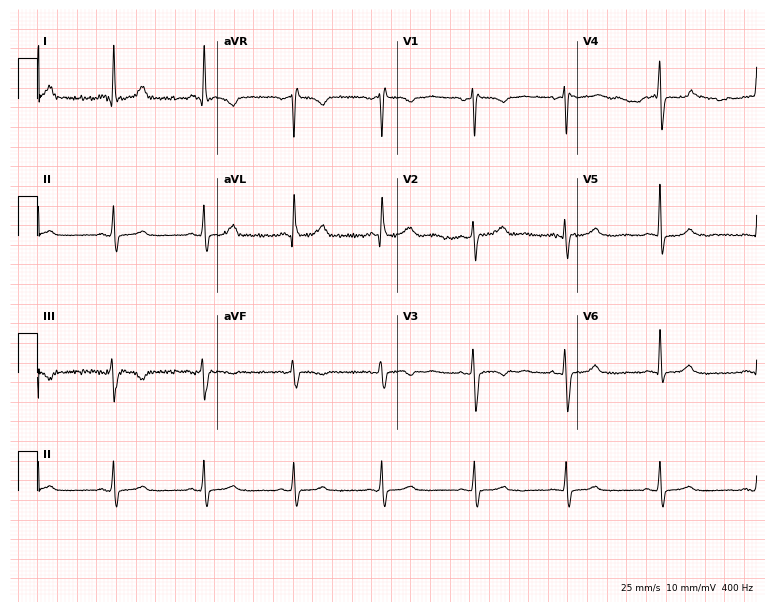
Standard 12-lead ECG recorded from a 52-year-old female. Read as a normal ECG.